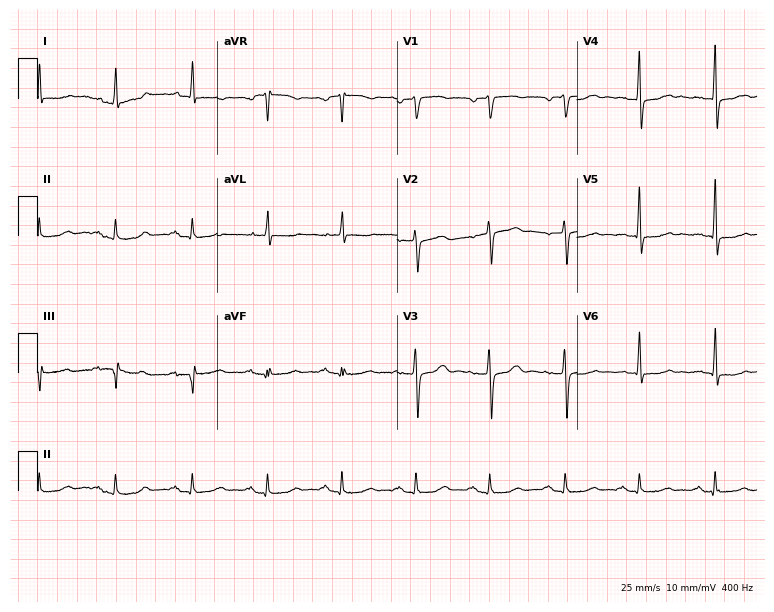
ECG (7.3-second recording at 400 Hz) — a female, 75 years old. Screened for six findings — first-degree AV block, right bundle branch block, left bundle branch block, sinus bradycardia, atrial fibrillation, sinus tachycardia — none is recorded. Only these six findings were labelled.